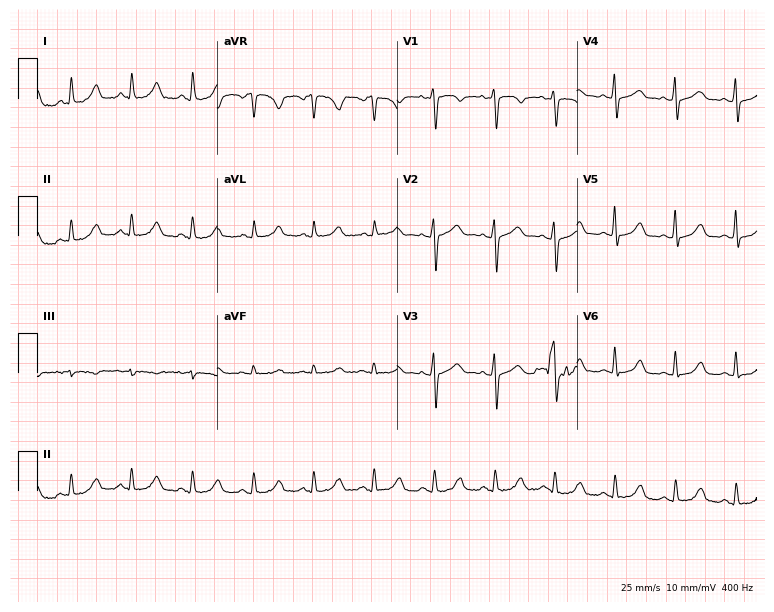
ECG (7.3-second recording at 400 Hz) — a 33-year-old female patient. Screened for six findings — first-degree AV block, right bundle branch block (RBBB), left bundle branch block (LBBB), sinus bradycardia, atrial fibrillation (AF), sinus tachycardia — none is recorded.